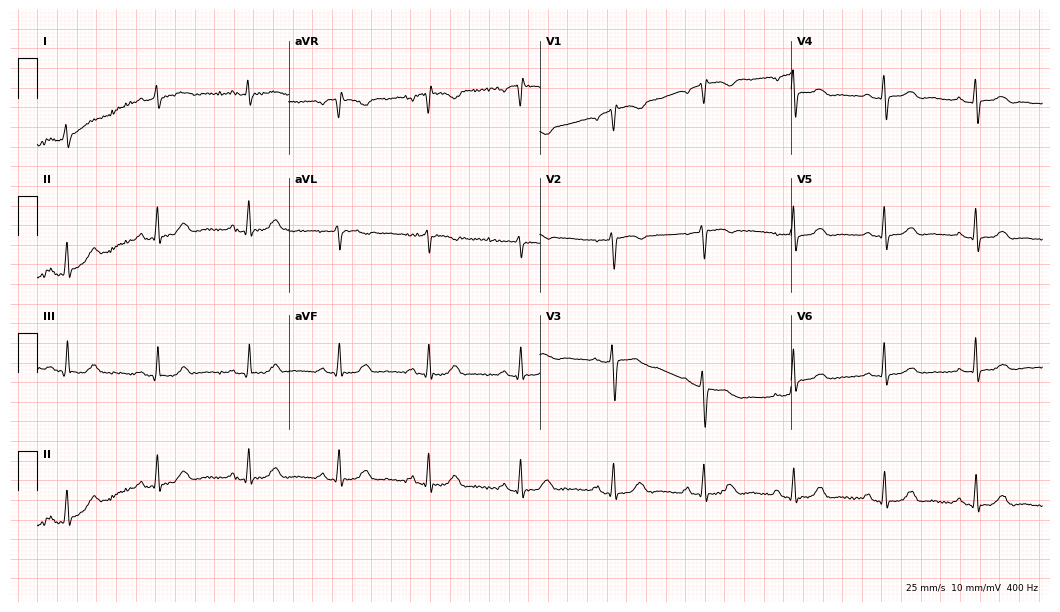
Standard 12-lead ECG recorded from a female, 58 years old. Read as a normal ECG.